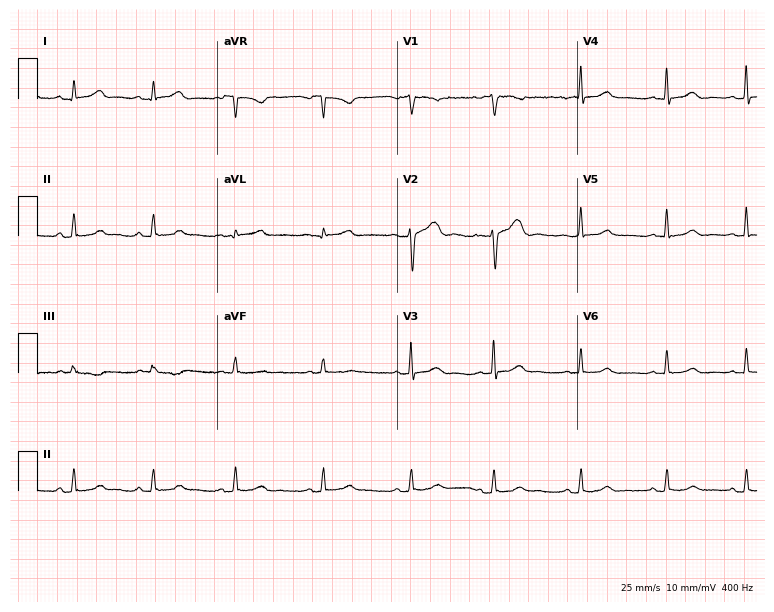
Electrocardiogram, a female patient, 43 years old. Overall reading on record: normal ECG.